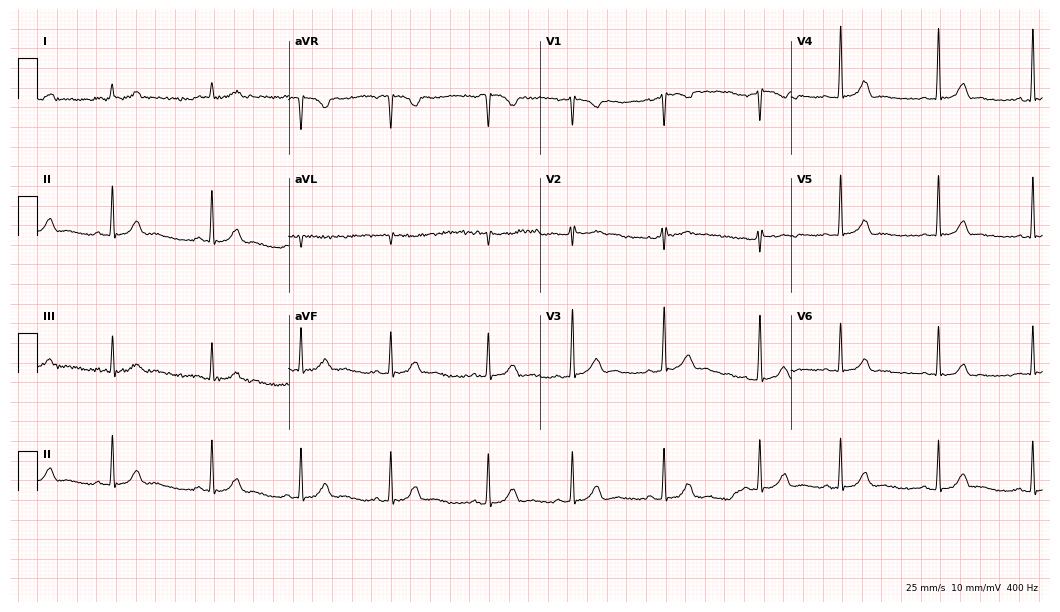
12-lead ECG from an 18-year-old woman. No first-degree AV block, right bundle branch block, left bundle branch block, sinus bradycardia, atrial fibrillation or sinus tachycardia recorded for this tracing. Other findings, if any, are not listed.